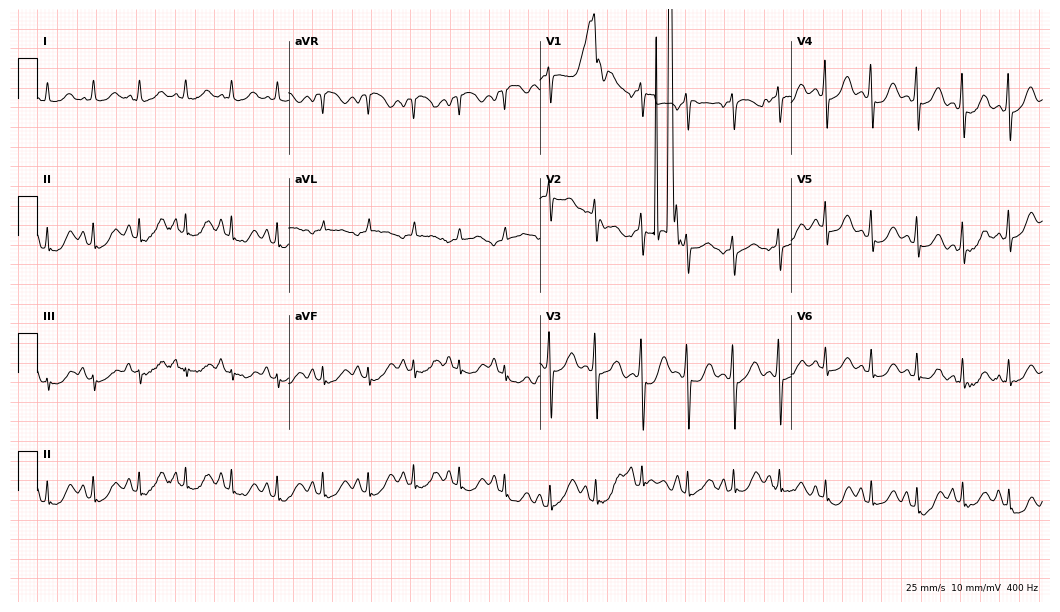
12-lead ECG from a 49-year-old woman. Shows sinus tachycardia (a sinus rate of 100 beats per minute or more).